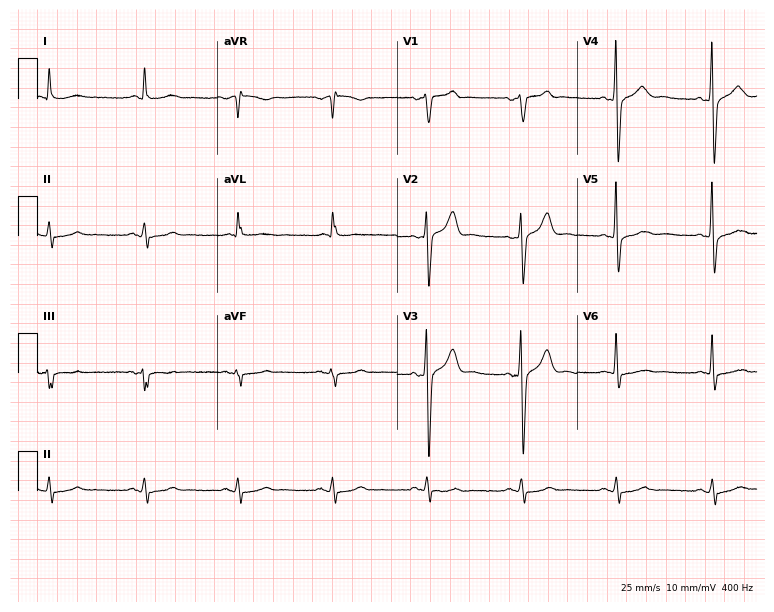
12-lead ECG from a 61-year-old male patient. Screened for six findings — first-degree AV block, right bundle branch block, left bundle branch block, sinus bradycardia, atrial fibrillation, sinus tachycardia — none is recorded.